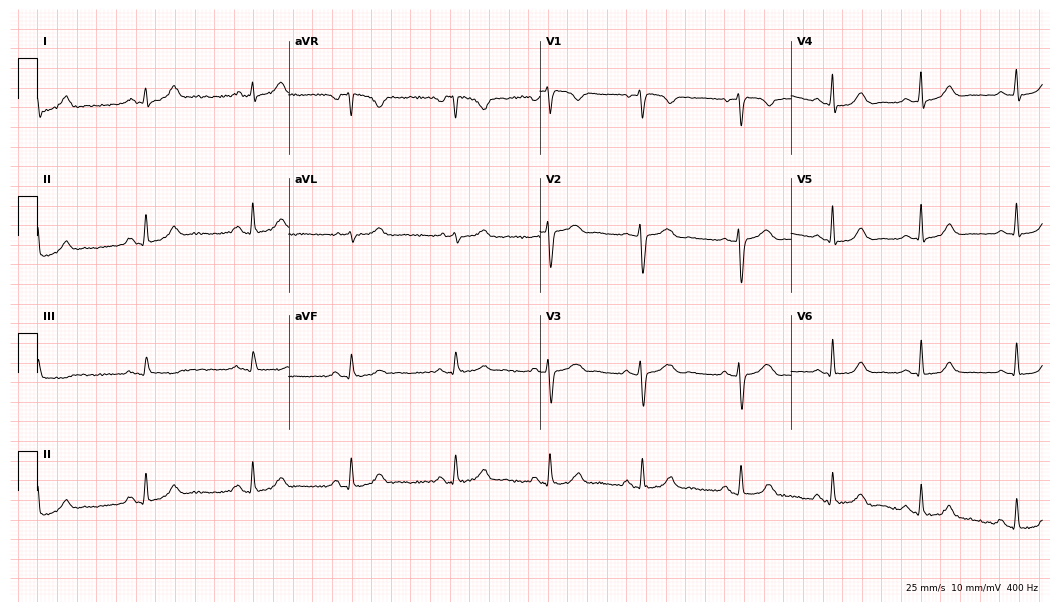
Resting 12-lead electrocardiogram. Patient: a female, 39 years old. Read as a normal ECG.